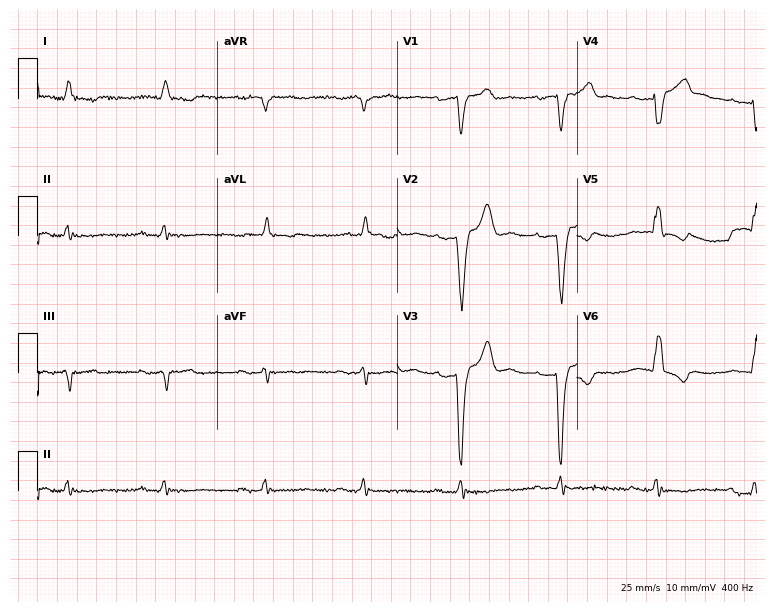
Resting 12-lead electrocardiogram. Patient: a 73-year-old female. The tracing shows first-degree AV block, left bundle branch block.